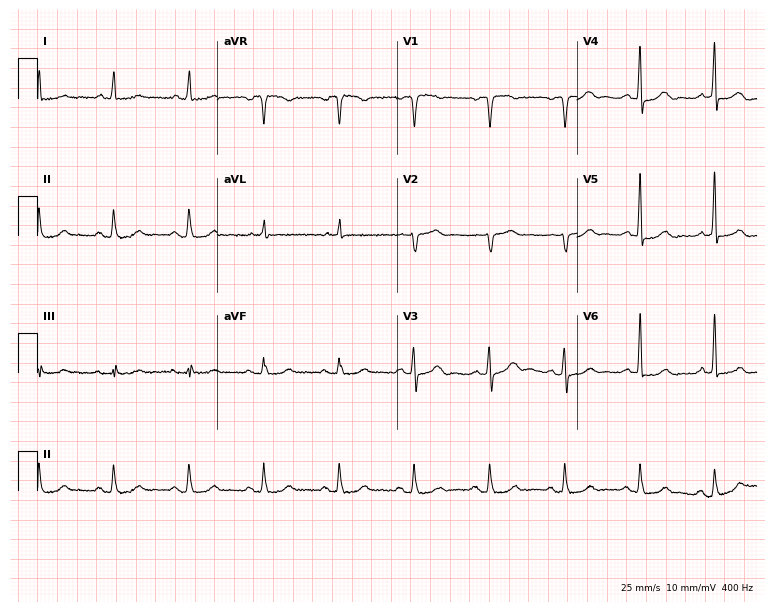
12-lead ECG (7.3-second recording at 400 Hz) from a 53-year-old female. Screened for six findings — first-degree AV block, right bundle branch block, left bundle branch block, sinus bradycardia, atrial fibrillation, sinus tachycardia — none is recorded.